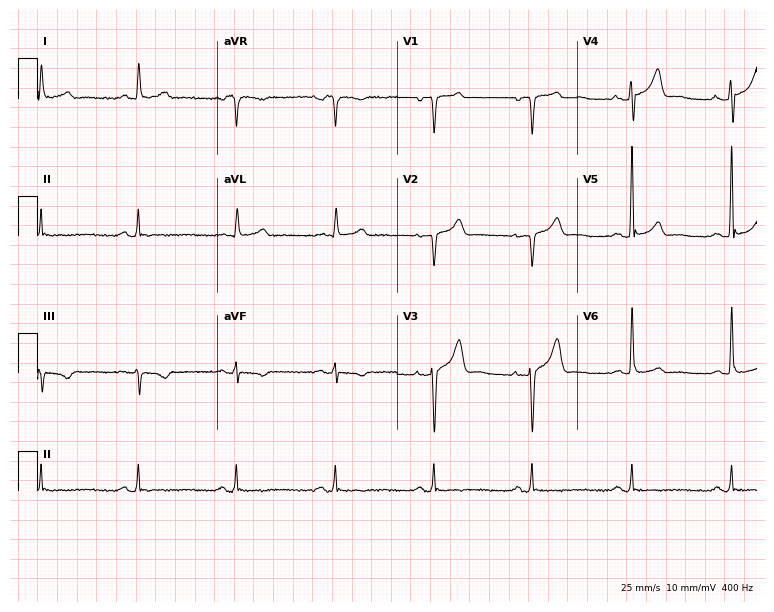
Electrocardiogram (7.3-second recording at 400 Hz), a man, 61 years old. Of the six screened findings (first-degree AV block, right bundle branch block, left bundle branch block, sinus bradycardia, atrial fibrillation, sinus tachycardia), none is recorded.